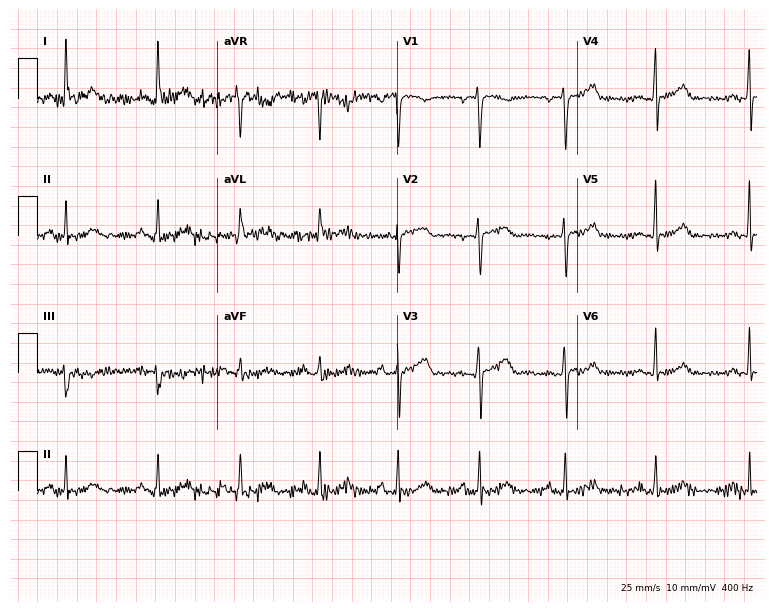
Electrocardiogram (7.3-second recording at 400 Hz), a female, 47 years old. Of the six screened findings (first-degree AV block, right bundle branch block (RBBB), left bundle branch block (LBBB), sinus bradycardia, atrial fibrillation (AF), sinus tachycardia), none is recorded. Only these six findings were labelled.